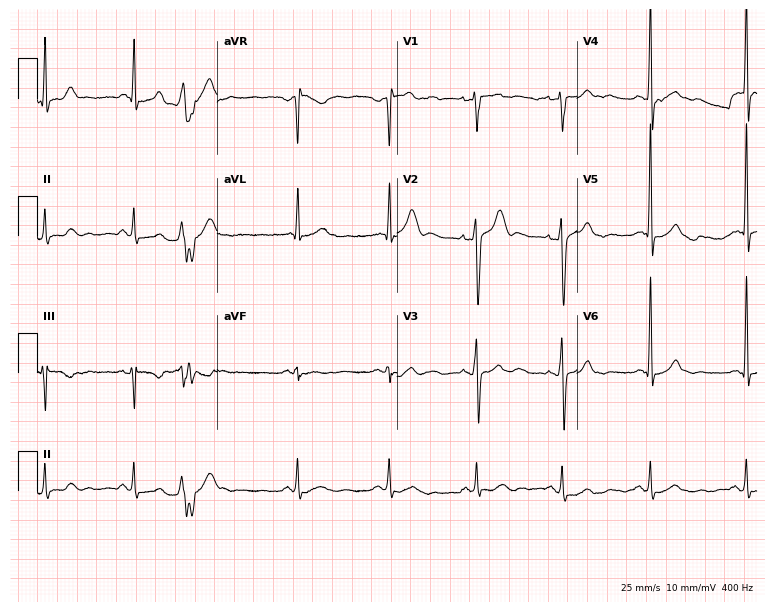
Standard 12-lead ECG recorded from a 45-year-old male patient. None of these six findings is recorded: first-degree AV block, right bundle branch block, left bundle branch block, sinus bradycardia, atrial fibrillation, sinus tachycardia. Only these six findings were labelled.